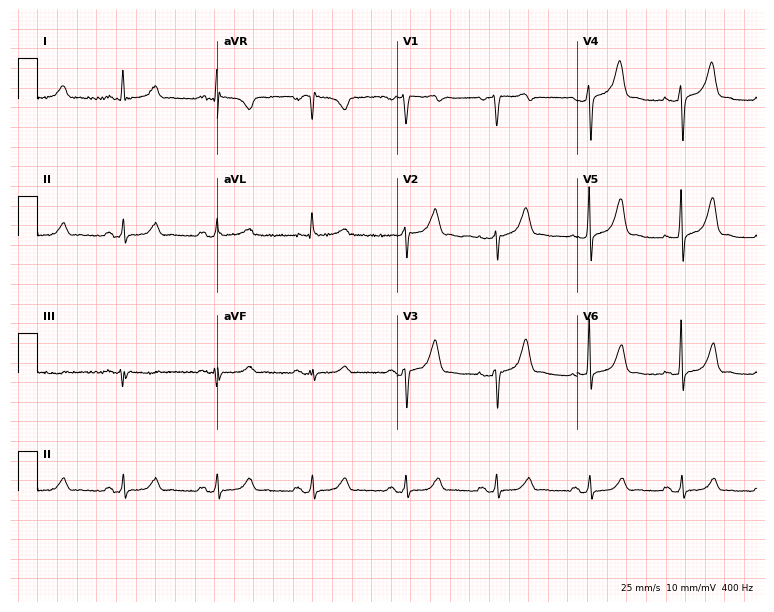
12-lead ECG from a 63-year-old female patient. Labelled as a normal ECG.